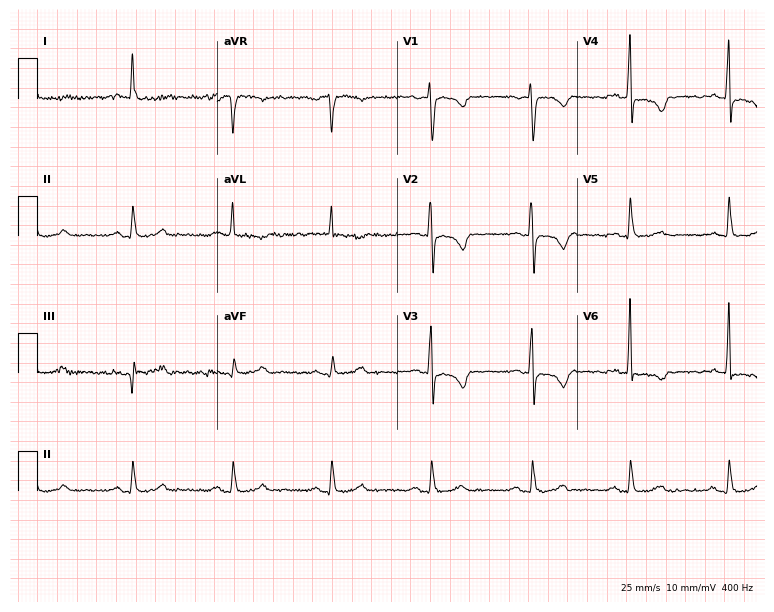
Standard 12-lead ECG recorded from a 70-year-old female. None of these six findings is recorded: first-degree AV block, right bundle branch block (RBBB), left bundle branch block (LBBB), sinus bradycardia, atrial fibrillation (AF), sinus tachycardia. Only these six findings were labelled.